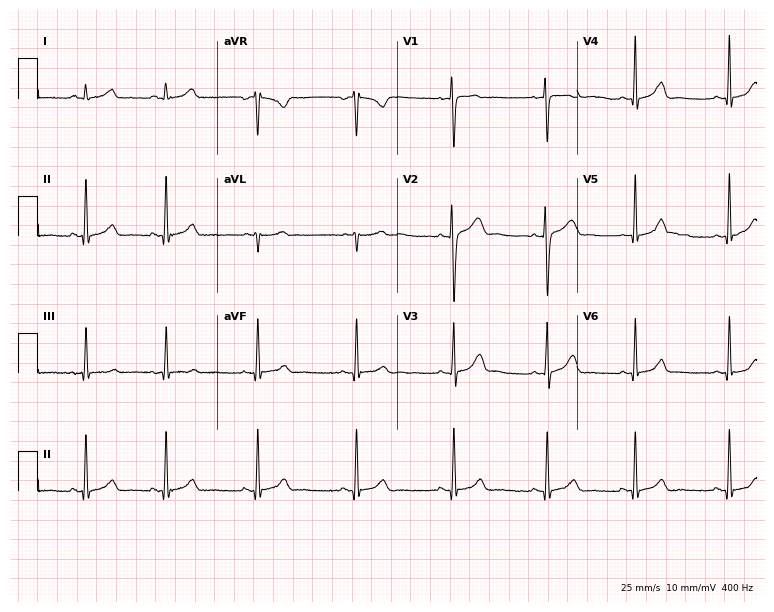
12-lead ECG (7.3-second recording at 400 Hz) from a female patient, 31 years old. Screened for six findings — first-degree AV block, right bundle branch block, left bundle branch block, sinus bradycardia, atrial fibrillation, sinus tachycardia — none is recorded.